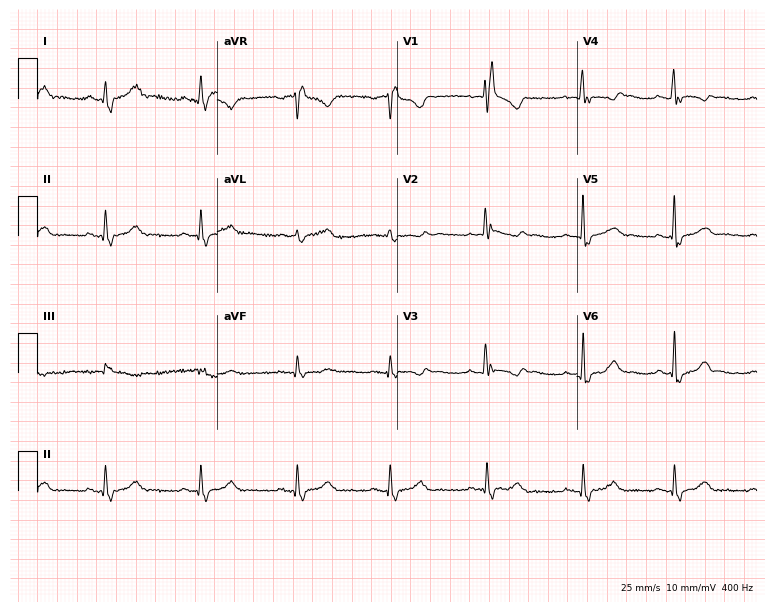
Standard 12-lead ECG recorded from a 43-year-old woman (7.3-second recording at 400 Hz). The tracing shows right bundle branch block (RBBB).